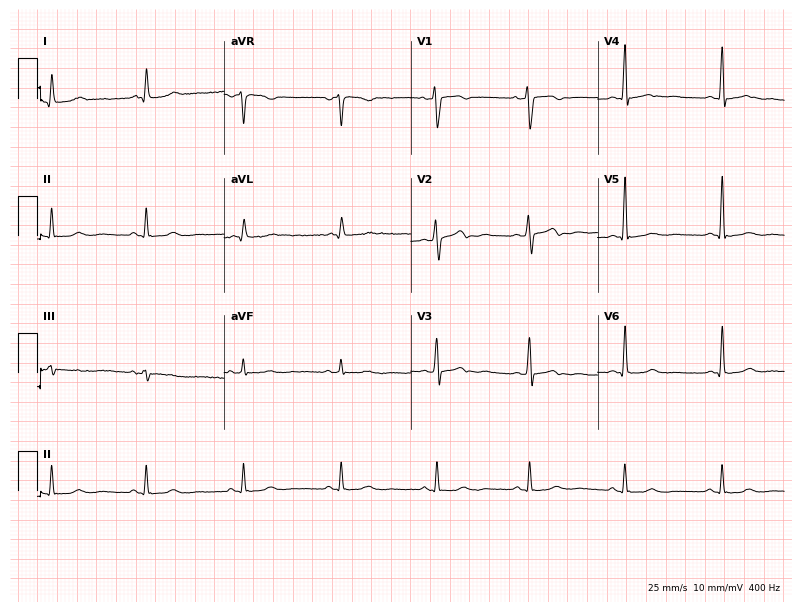
12-lead ECG (7.6-second recording at 400 Hz) from a female, 50 years old. Screened for six findings — first-degree AV block, right bundle branch block, left bundle branch block, sinus bradycardia, atrial fibrillation, sinus tachycardia — none is recorded. Findings outside these six are not listed.